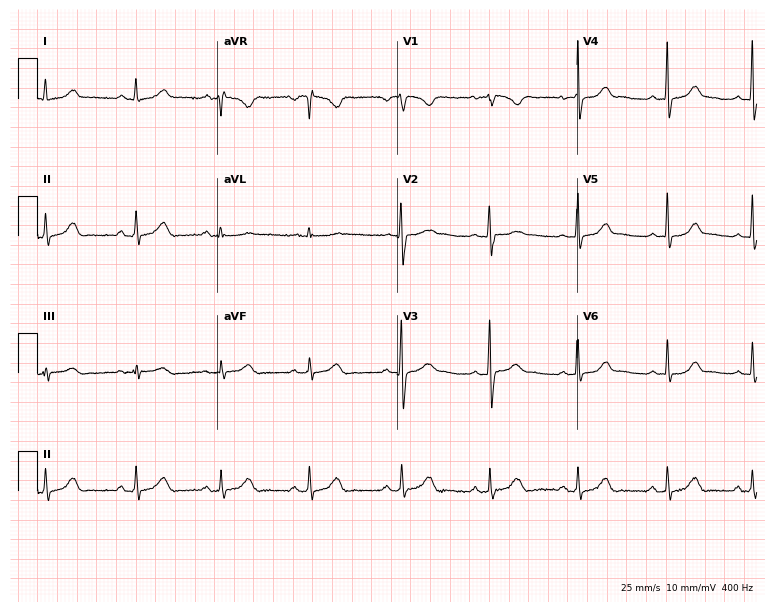
Electrocardiogram (7.3-second recording at 400 Hz), a woman, 20 years old. Overall reading on record: normal ECG.